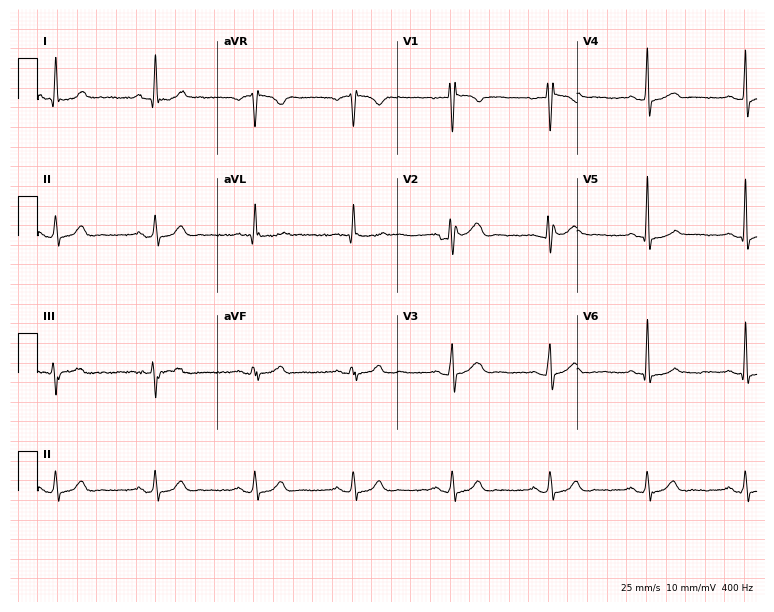
Standard 12-lead ECG recorded from a man, 32 years old (7.3-second recording at 400 Hz). None of these six findings is recorded: first-degree AV block, right bundle branch block, left bundle branch block, sinus bradycardia, atrial fibrillation, sinus tachycardia.